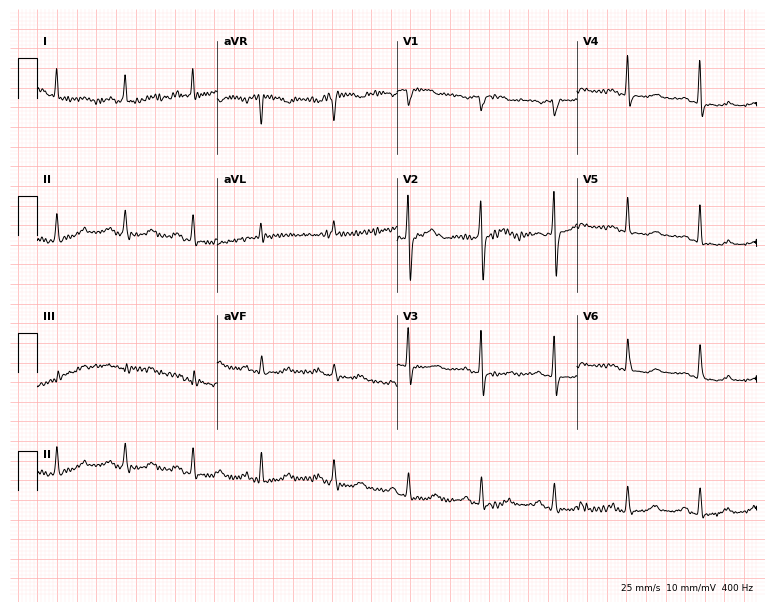
Standard 12-lead ECG recorded from a woman, 52 years old (7.3-second recording at 400 Hz). None of these six findings is recorded: first-degree AV block, right bundle branch block, left bundle branch block, sinus bradycardia, atrial fibrillation, sinus tachycardia.